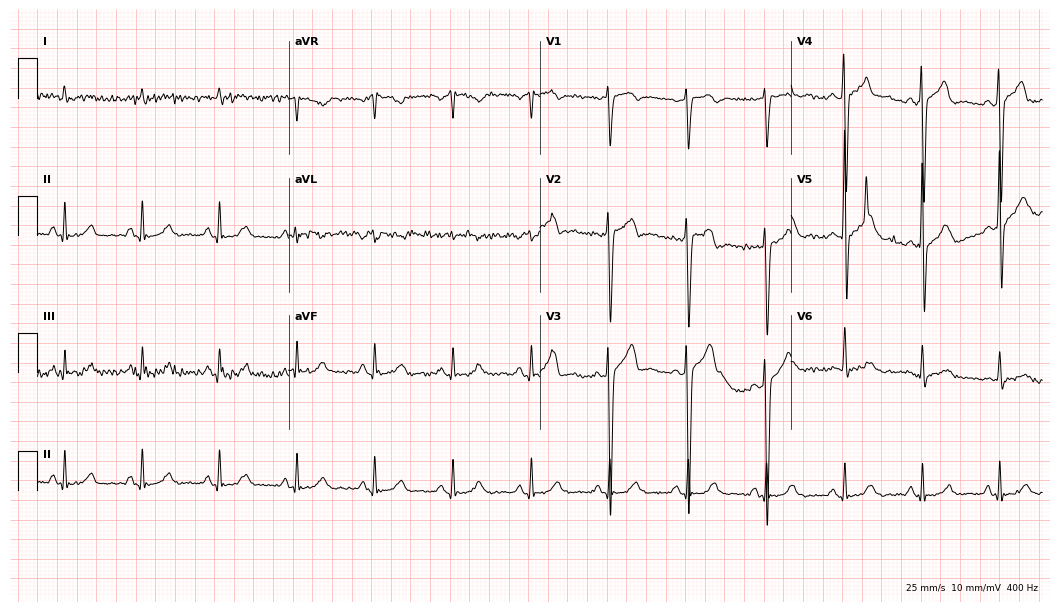
12-lead ECG from a 57-year-old male (10.2-second recording at 400 Hz). Recorded interpretation: within normal limits.